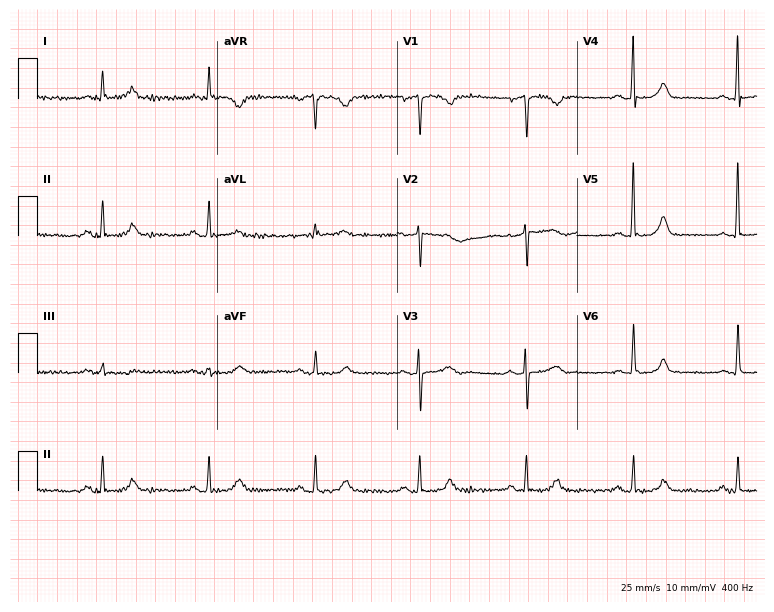
12-lead ECG (7.3-second recording at 400 Hz) from a male patient, 65 years old. Labelled as a normal ECG.